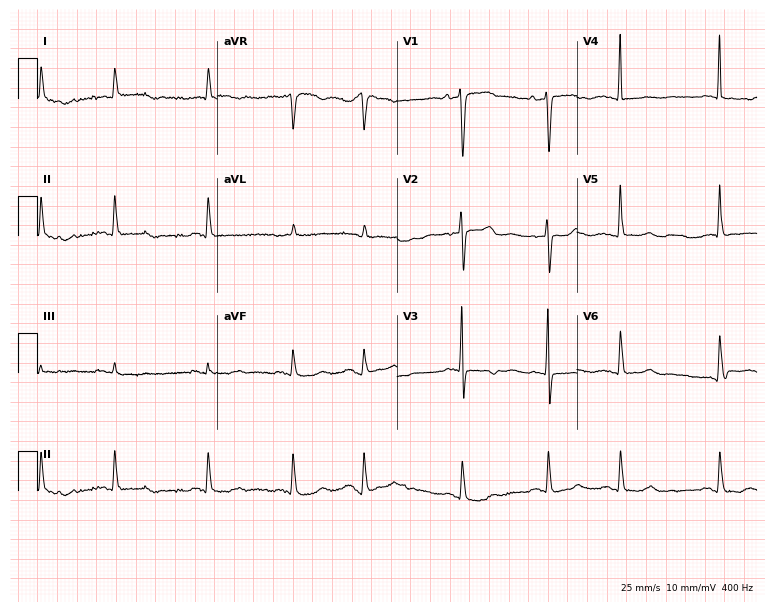
Standard 12-lead ECG recorded from a 77-year-old woman. None of these six findings is recorded: first-degree AV block, right bundle branch block, left bundle branch block, sinus bradycardia, atrial fibrillation, sinus tachycardia. Only these six findings were labelled.